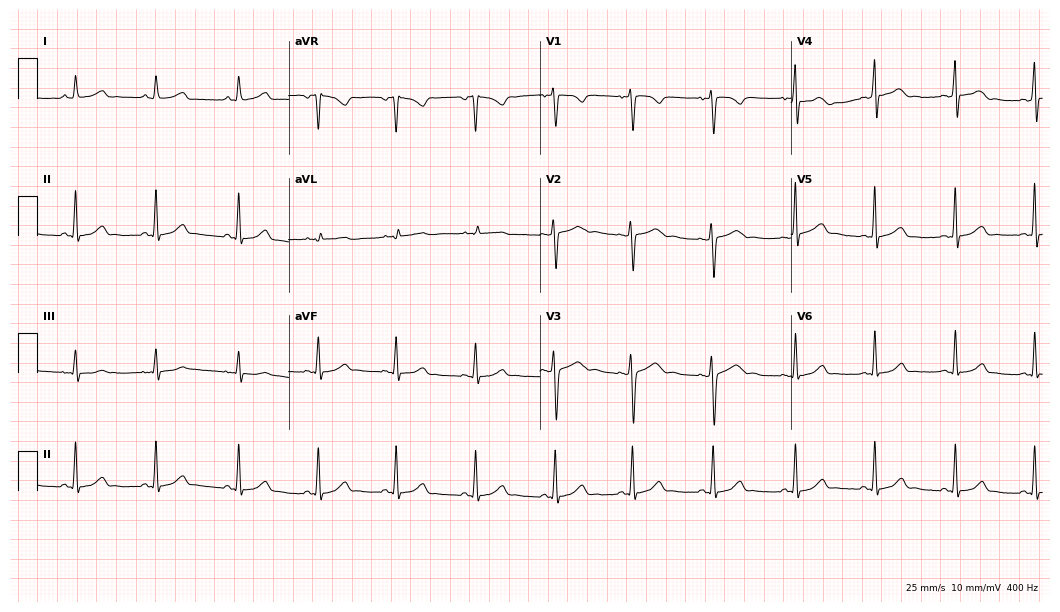
ECG — a 28-year-old female. Labelled as a normal ECG.